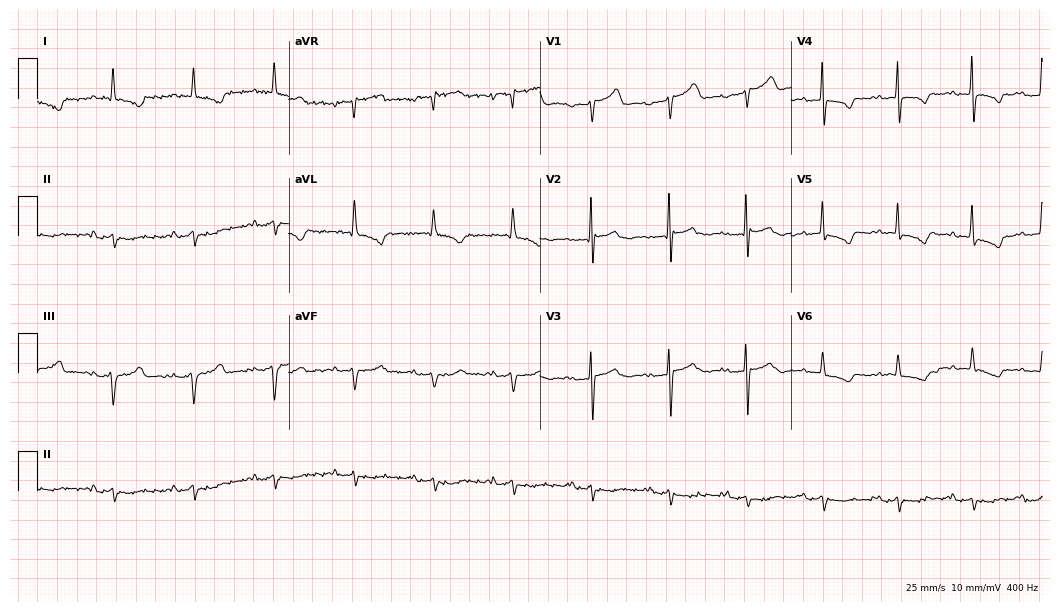
Standard 12-lead ECG recorded from a male, 67 years old. None of these six findings is recorded: first-degree AV block, right bundle branch block, left bundle branch block, sinus bradycardia, atrial fibrillation, sinus tachycardia. Only these six findings were labelled.